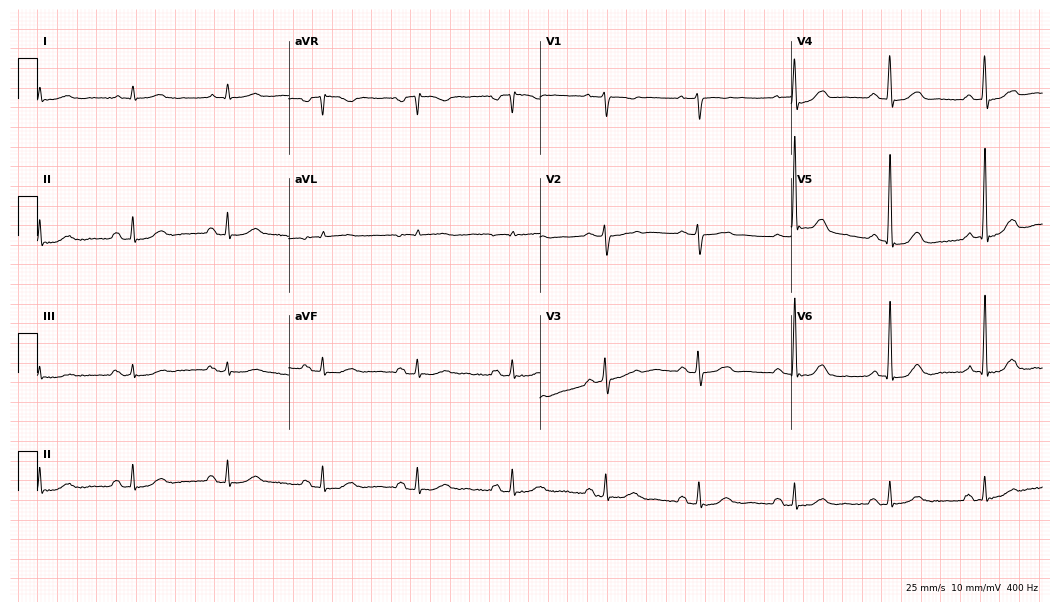
12-lead ECG from a 72-year-old man (10.2-second recording at 400 Hz). Recorded interpretation: within normal limits.